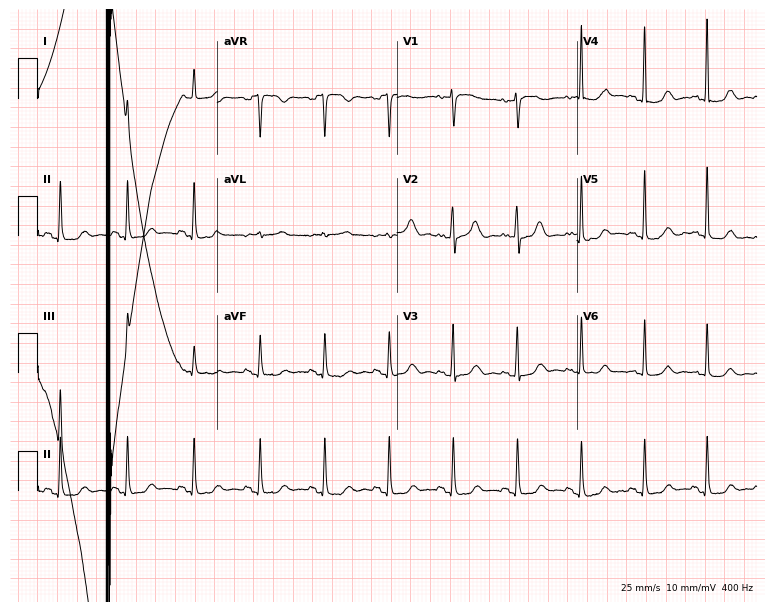
Standard 12-lead ECG recorded from a female, 84 years old. Read as a normal ECG.